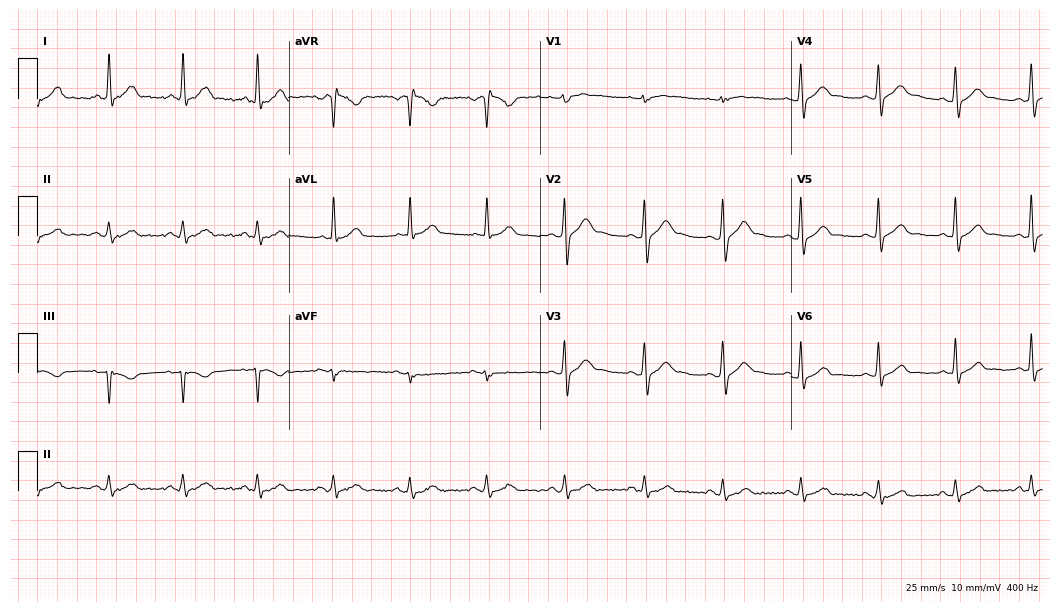
ECG (10.2-second recording at 400 Hz) — a male patient, 47 years old. Labelled as a normal ECG.